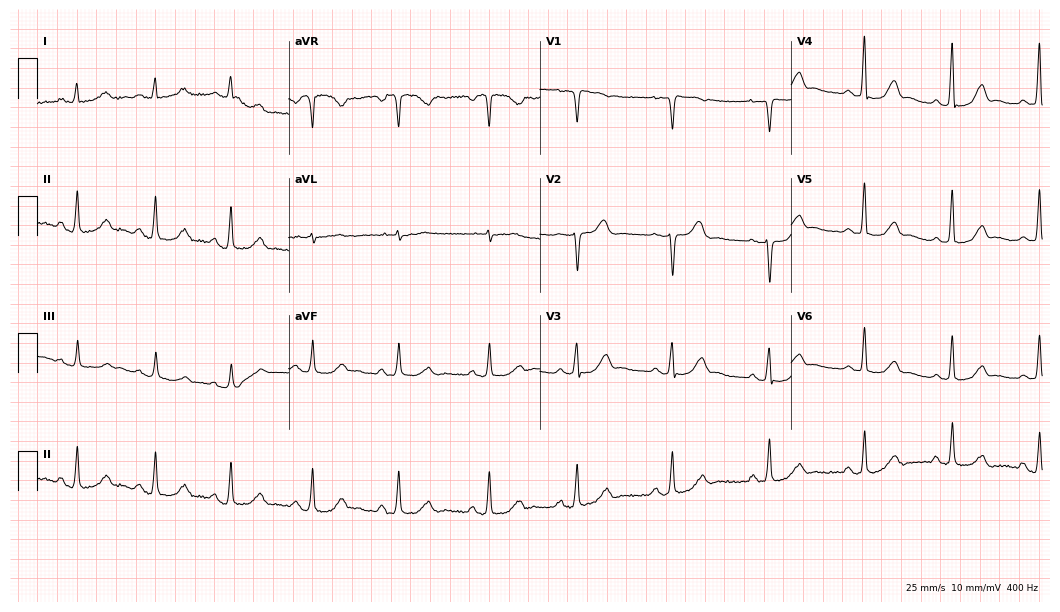
Resting 12-lead electrocardiogram. Patient: a female, 49 years old. None of these six findings is recorded: first-degree AV block, right bundle branch block, left bundle branch block, sinus bradycardia, atrial fibrillation, sinus tachycardia.